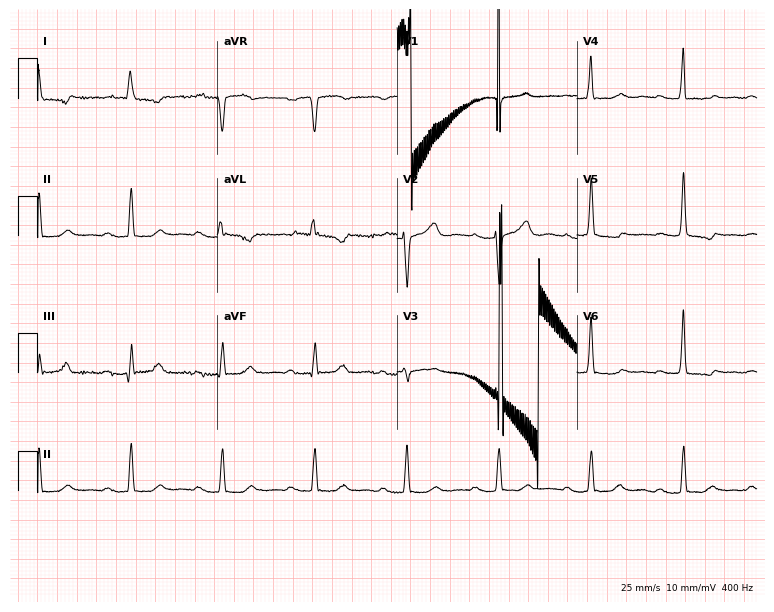
Standard 12-lead ECG recorded from a woman, 65 years old. The tracing shows first-degree AV block.